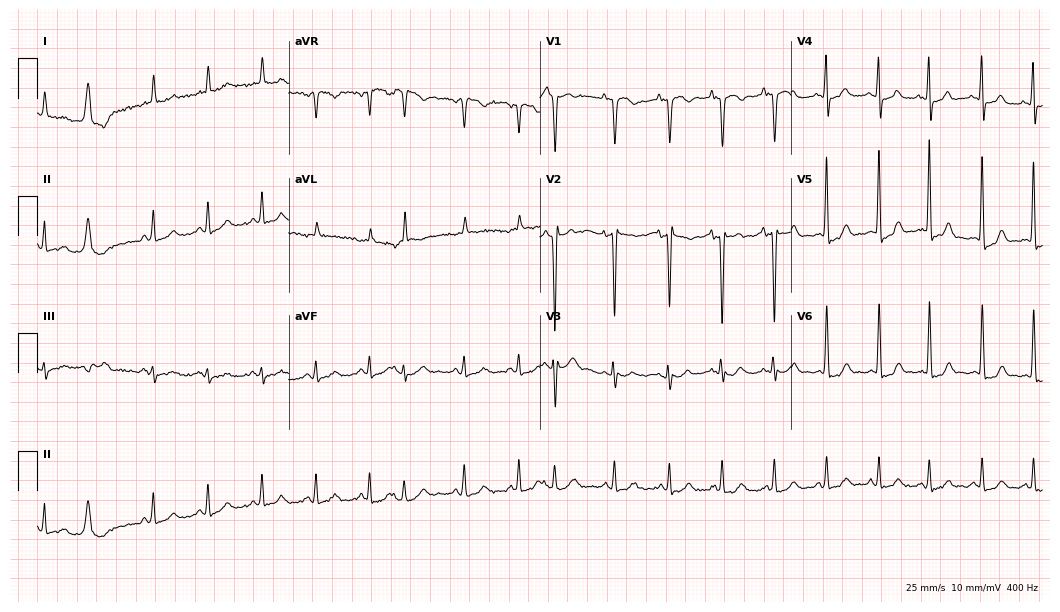
Resting 12-lead electrocardiogram. Patient: a 77-year-old female. The tracing shows sinus tachycardia (a sinus rate of 100 beats per minute or more).